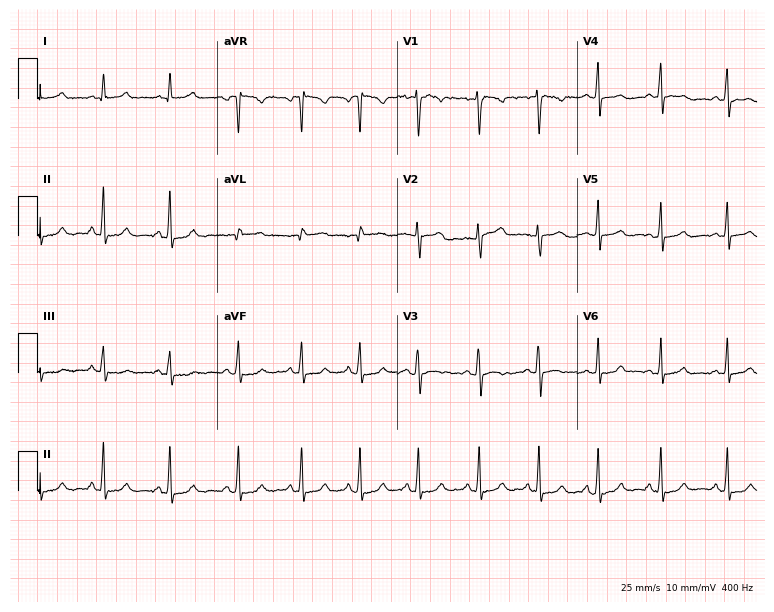
Electrocardiogram (7.3-second recording at 400 Hz), a female, 21 years old. Overall reading on record: normal ECG.